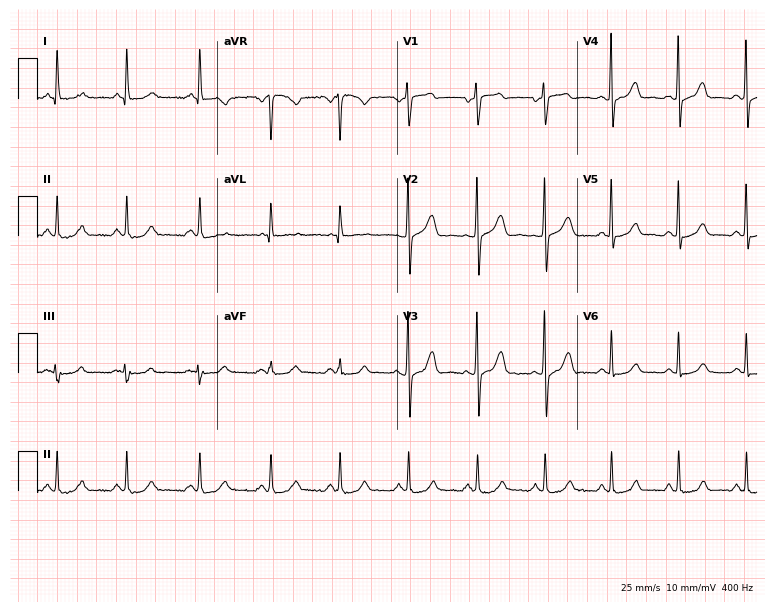
Standard 12-lead ECG recorded from a 57-year-old woman (7.3-second recording at 400 Hz). Read as a normal ECG.